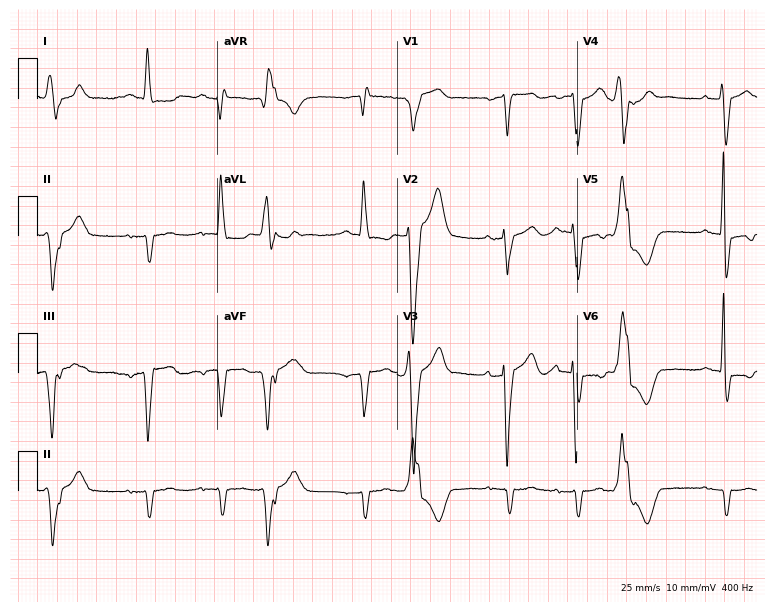
Standard 12-lead ECG recorded from a male patient, 76 years old (7.3-second recording at 400 Hz). The tracing shows left bundle branch block.